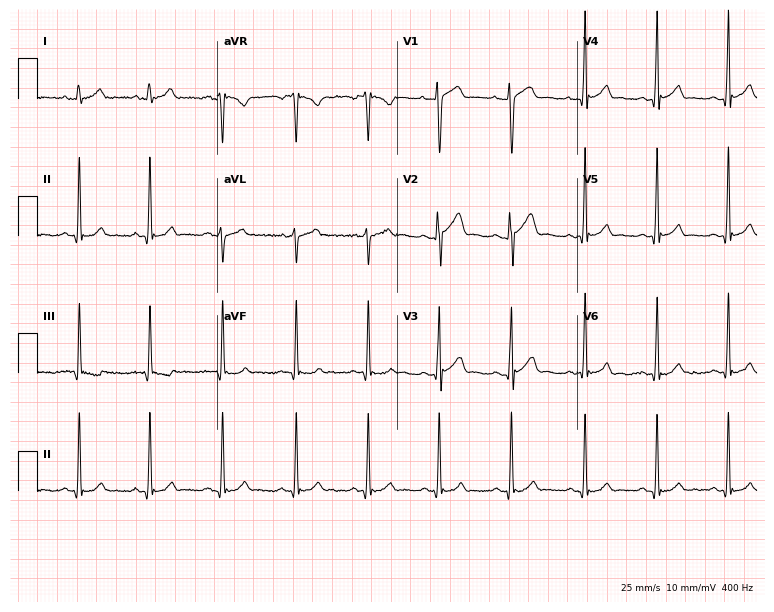
Electrocardiogram, a 17-year-old male patient. Overall reading on record: normal ECG.